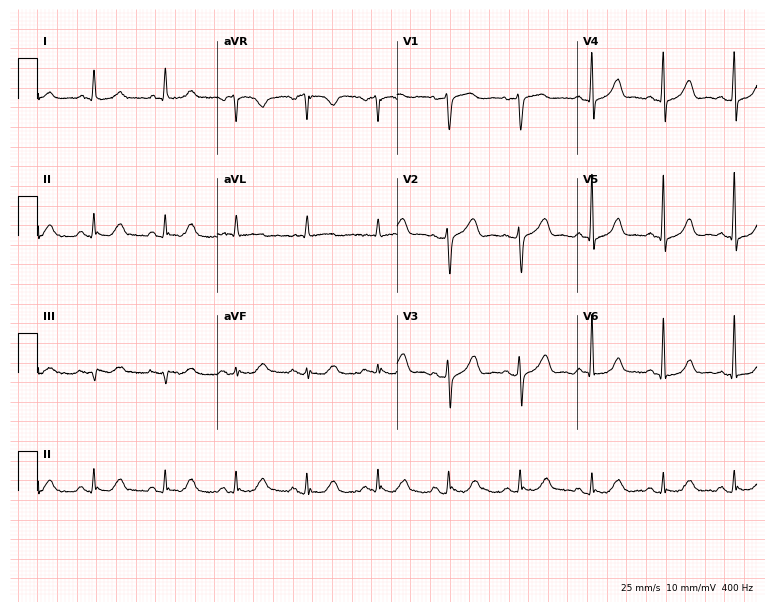
Electrocardiogram (7.3-second recording at 400 Hz), a female, 70 years old. Overall reading on record: normal ECG.